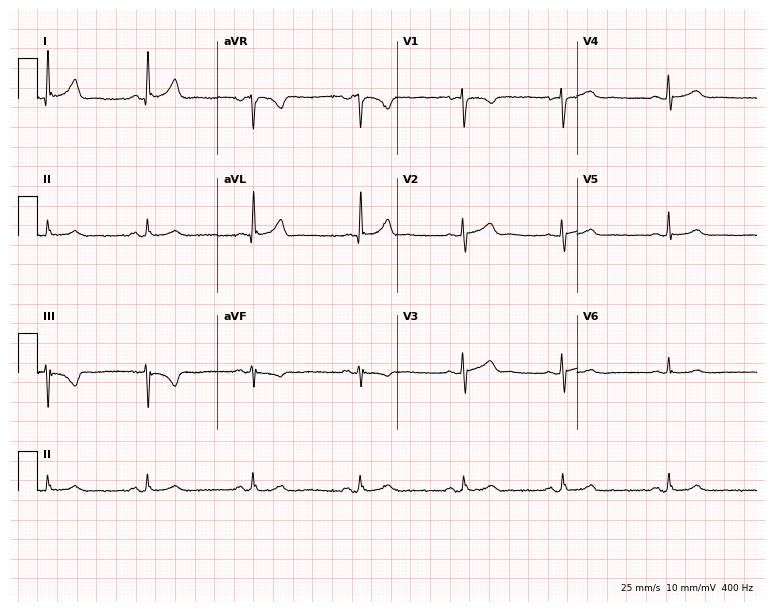
ECG — a 51-year-old woman. Labelled as a normal ECG.